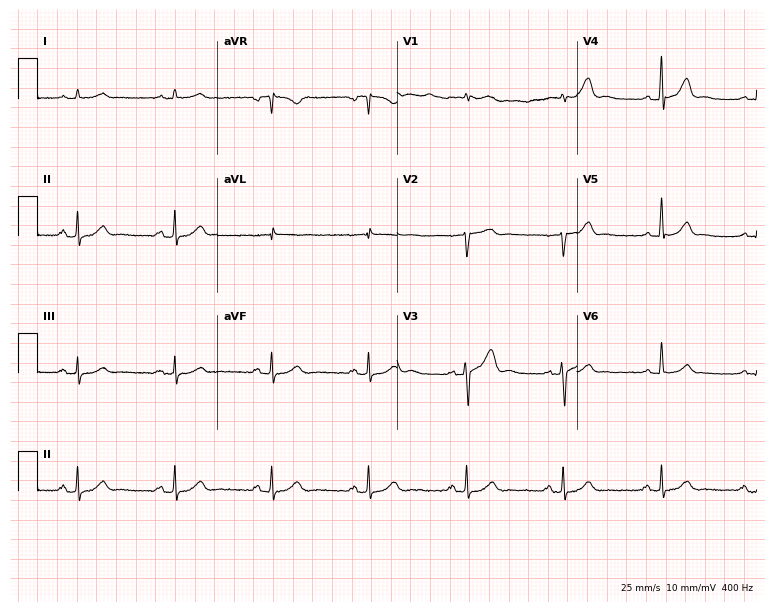
12-lead ECG from a 55-year-old male. No first-degree AV block, right bundle branch block, left bundle branch block, sinus bradycardia, atrial fibrillation or sinus tachycardia recorded for this tracing. Only these six findings were labelled.